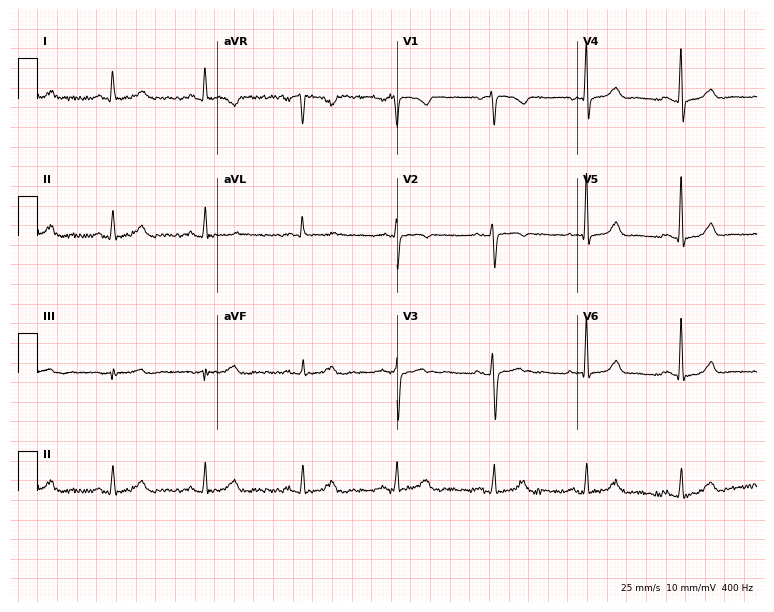
ECG (7.3-second recording at 400 Hz) — a 40-year-old woman. Screened for six findings — first-degree AV block, right bundle branch block (RBBB), left bundle branch block (LBBB), sinus bradycardia, atrial fibrillation (AF), sinus tachycardia — none is recorded. Other findings, if any, are not listed.